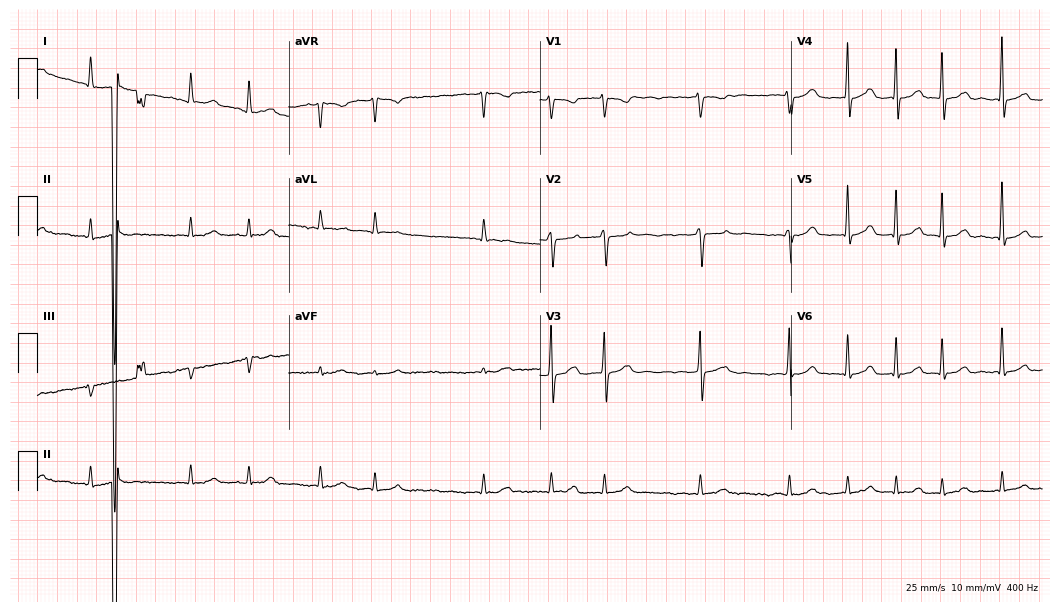
12-lead ECG (10.2-second recording at 400 Hz) from an 82-year-old female. Findings include atrial fibrillation.